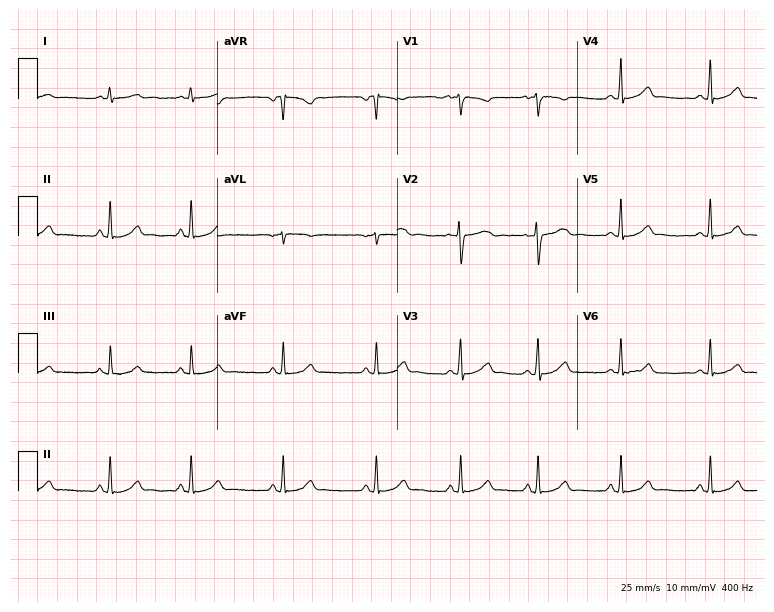
ECG (7.3-second recording at 400 Hz) — an 18-year-old female. Labelled as a normal ECG.